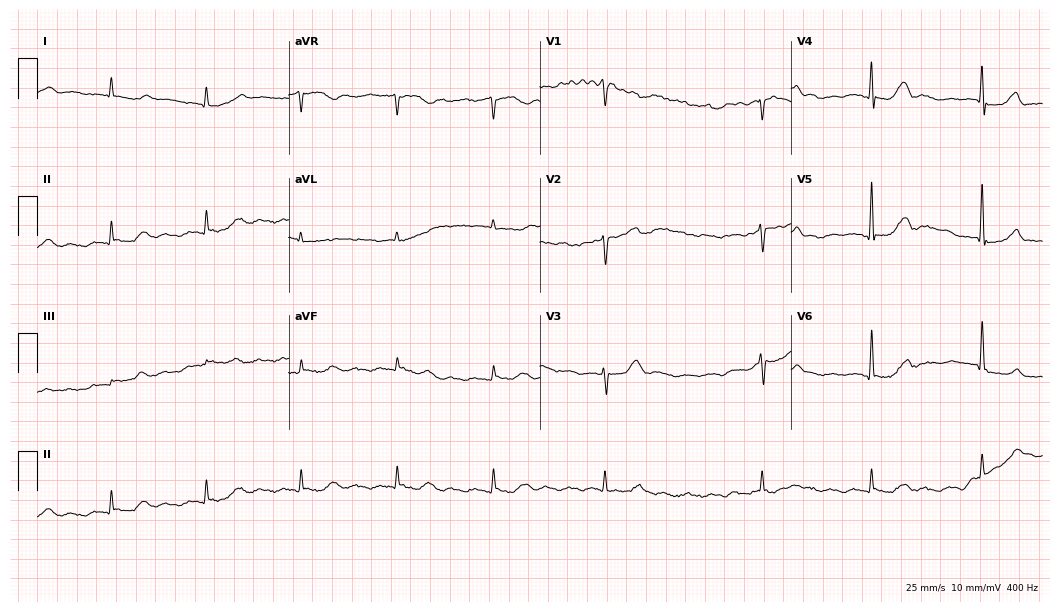
Resting 12-lead electrocardiogram. Patient: a man, 83 years old. None of these six findings is recorded: first-degree AV block, right bundle branch block, left bundle branch block, sinus bradycardia, atrial fibrillation, sinus tachycardia. Other findings, if any, are not listed.